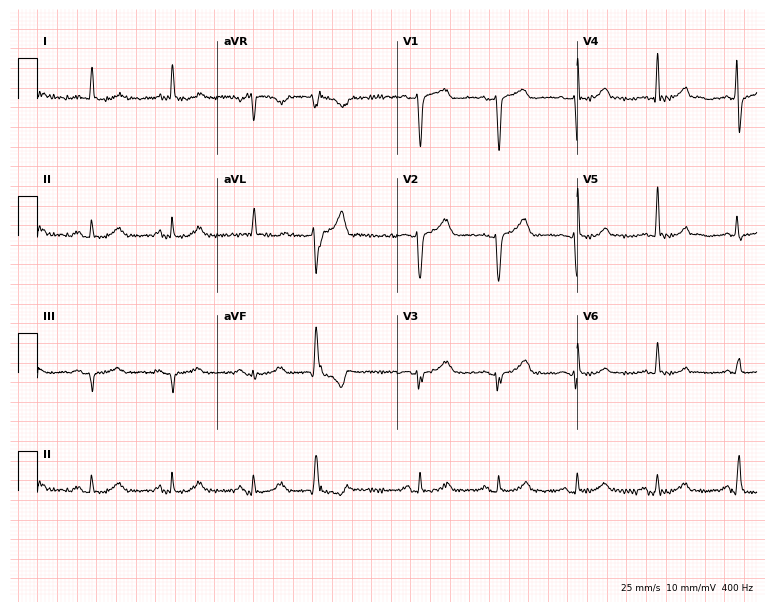
ECG — a 64-year-old female. Screened for six findings — first-degree AV block, right bundle branch block, left bundle branch block, sinus bradycardia, atrial fibrillation, sinus tachycardia — none is recorded. Only these six findings were labelled.